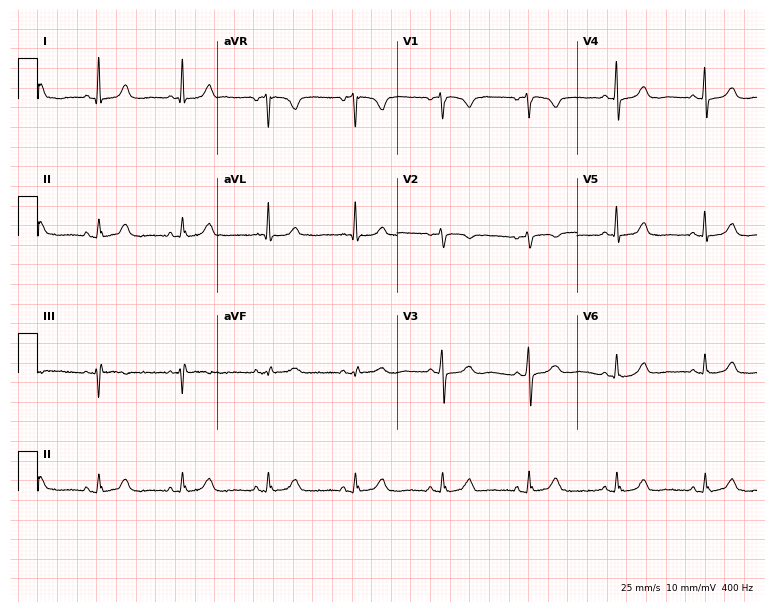
Standard 12-lead ECG recorded from a woman, 67 years old. None of these six findings is recorded: first-degree AV block, right bundle branch block (RBBB), left bundle branch block (LBBB), sinus bradycardia, atrial fibrillation (AF), sinus tachycardia. Other findings, if any, are not listed.